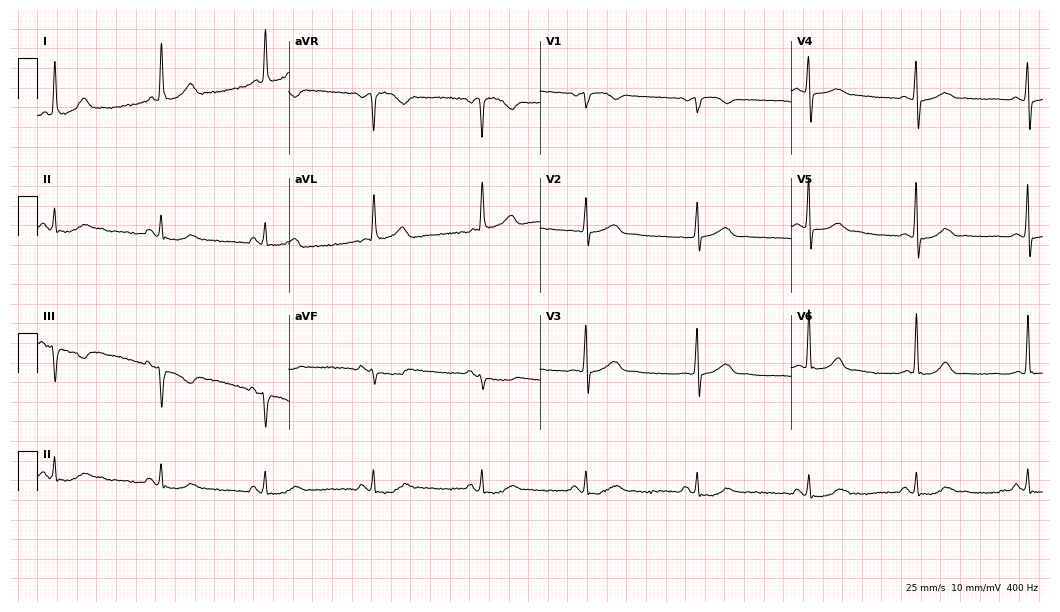
Standard 12-lead ECG recorded from a female, 61 years old. Read as a normal ECG.